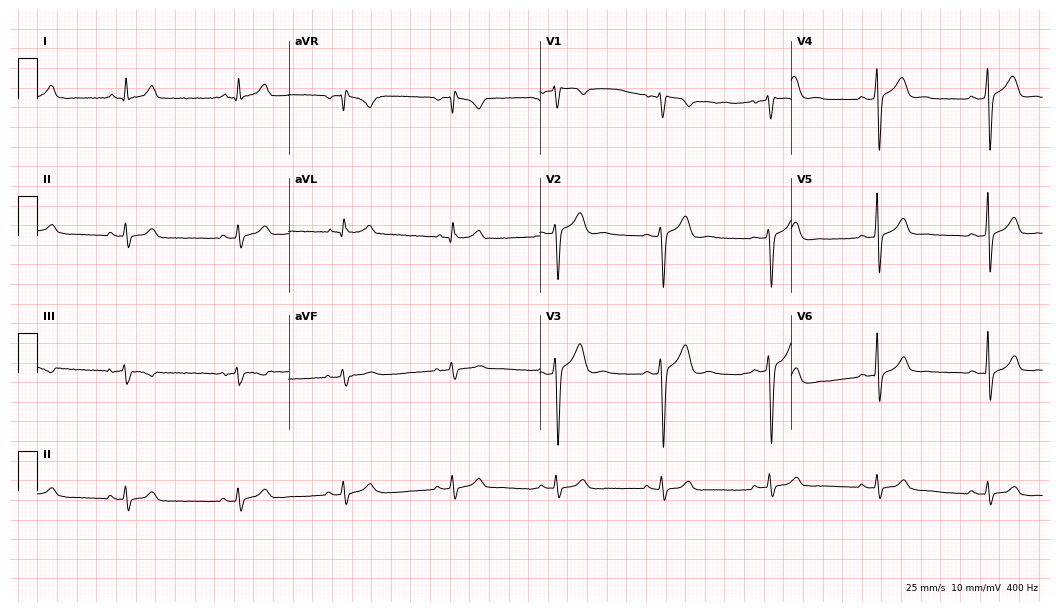
ECG — a 39-year-old male patient. Labelled as a normal ECG.